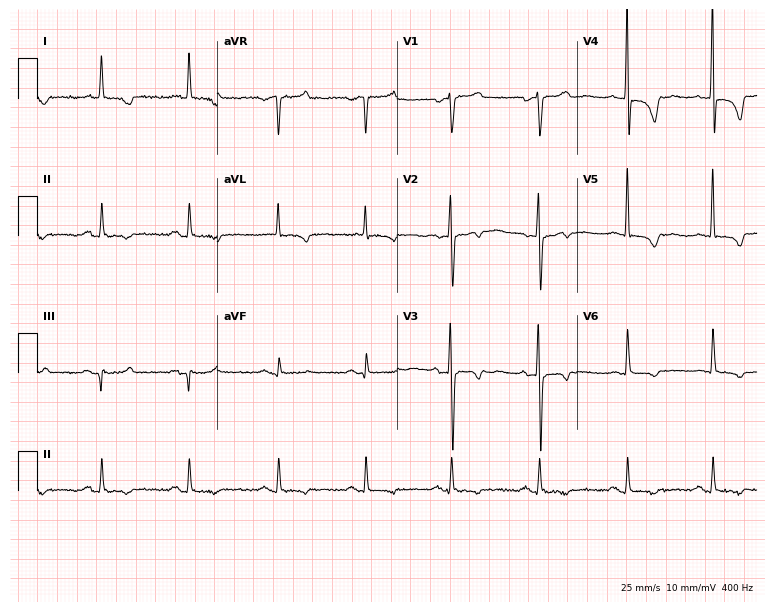
ECG — a 55-year-old female patient. Screened for six findings — first-degree AV block, right bundle branch block, left bundle branch block, sinus bradycardia, atrial fibrillation, sinus tachycardia — none is recorded. Findings outside these six are not listed.